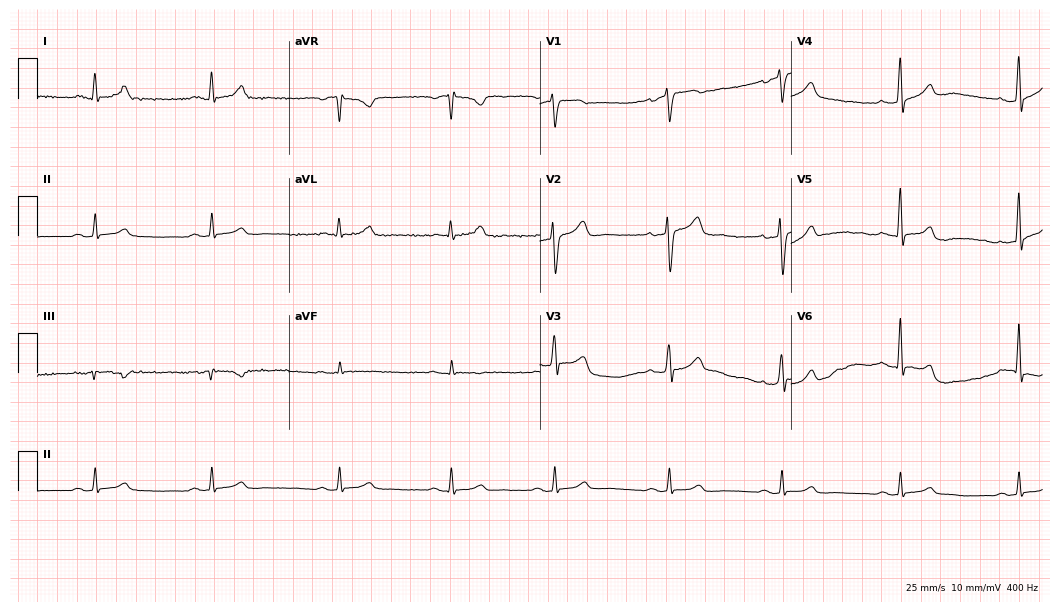
Standard 12-lead ECG recorded from a male patient, 44 years old. Read as a normal ECG.